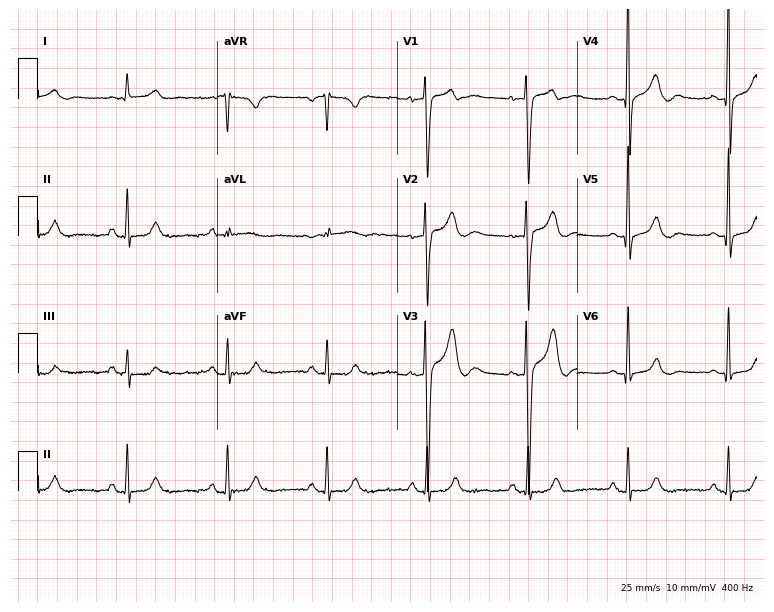
Resting 12-lead electrocardiogram (7.3-second recording at 400 Hz). Patient: a 25-year-old male. Read as a normal ECG.